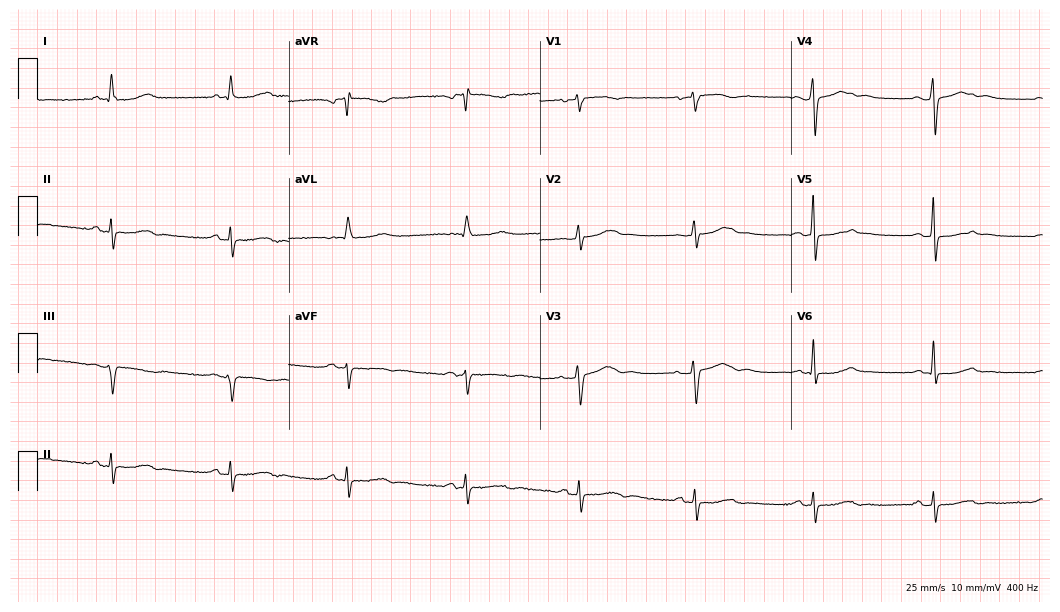
Resting 12-lead electrocardiogram (10.2-second recording at 400 Hz). Patient: a 52-year-old female. The tracing shows sinus bradycardia (a sinus rate of 50 beats per minute or less).